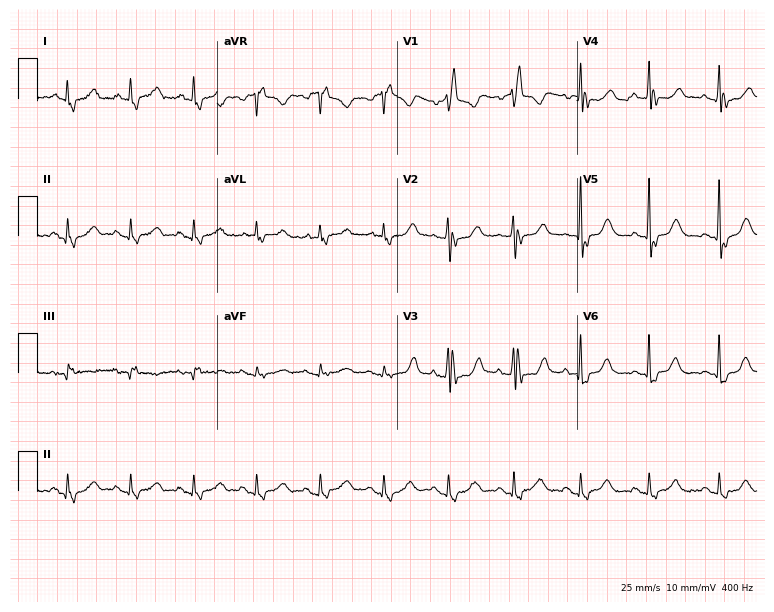
Electrocardiogram (7.3-second recording at 400 Hz), a female, 71 years old. Interpretation includes right bundle branch block (RBBB).